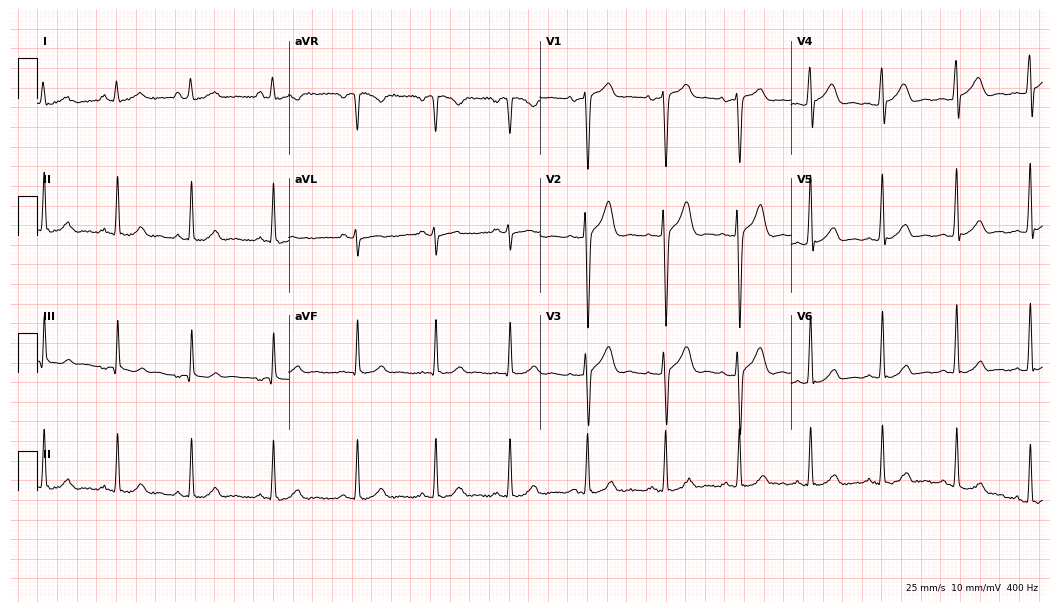
12-lead ECG (10.2-second recording at 400 Hz) from a 27-year-old male patient. Labelled as a normal ECG.